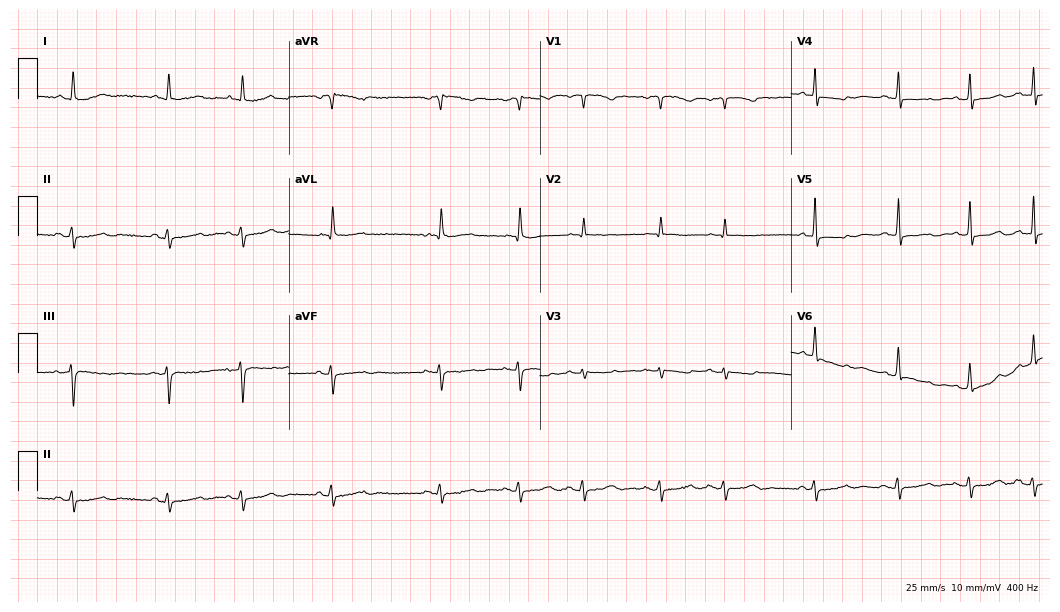
Standard 12-lead ECG recorded from an 83-year-old female (10.2-second recording at 400 Hz). None of these six findings is recorded: first-degree AV block, right bundle branch block (RBBB), left bundle branch block (LBBB), sinus bradycardia, atrial fibrillation (AF), sinus tachycardia.